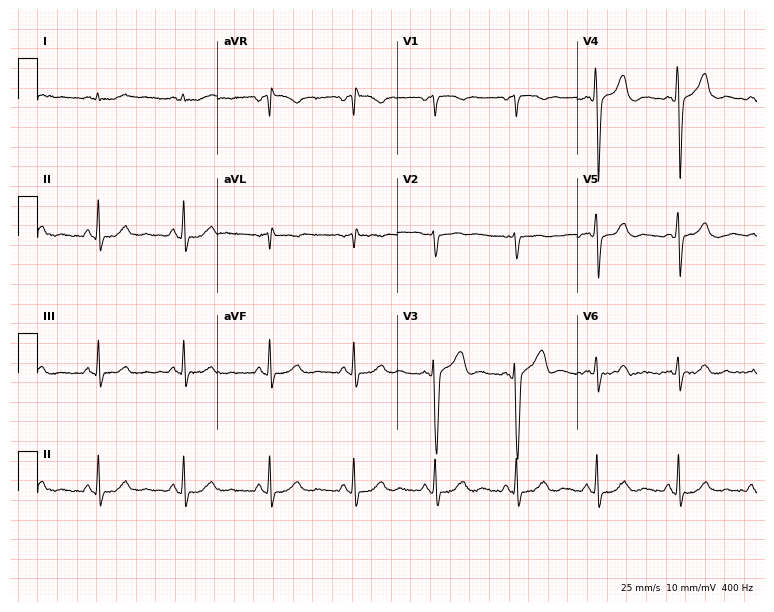
Resting 12-lead electrocardiogram. Patient: a 52-year-old man. Read as a normal ECG.